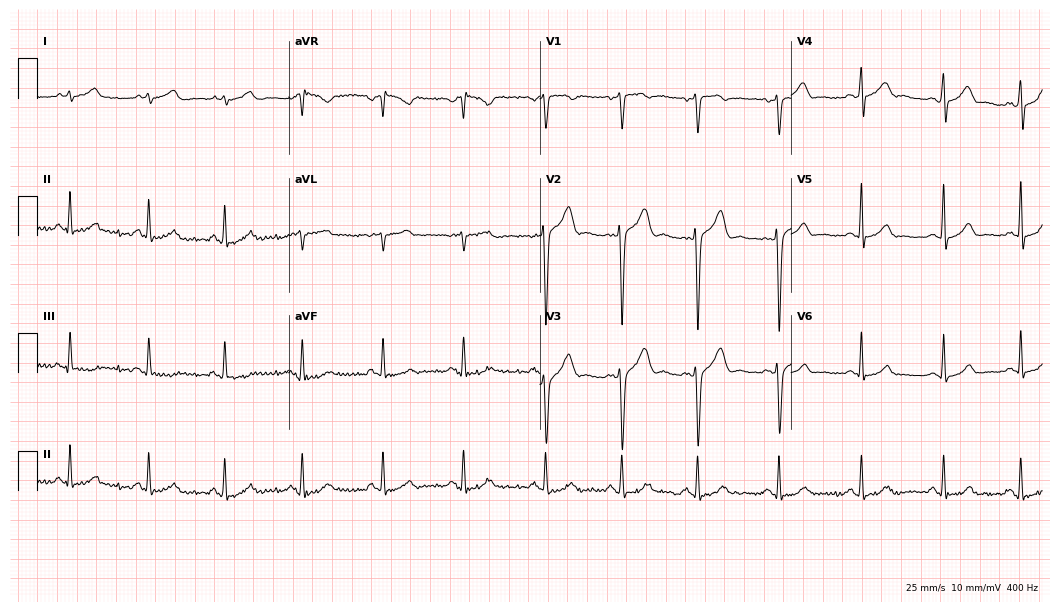
12-lead ECG from a male, 27 years old. No first-degree AV block, right bundle branch block (RBBB), left bundle branch block (LBBB), sinus bradycardia, atrial fibrillation (AF) or sinus tachycardia recorded for this tracing.